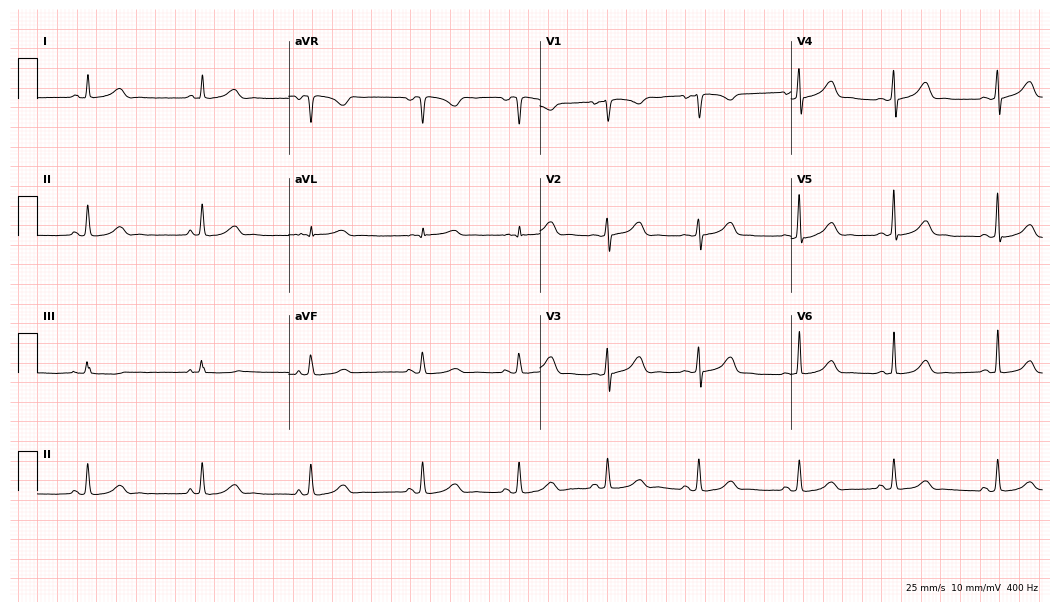
12-lead ECG from a female, 37 years old. Labelled as a normal ECG.